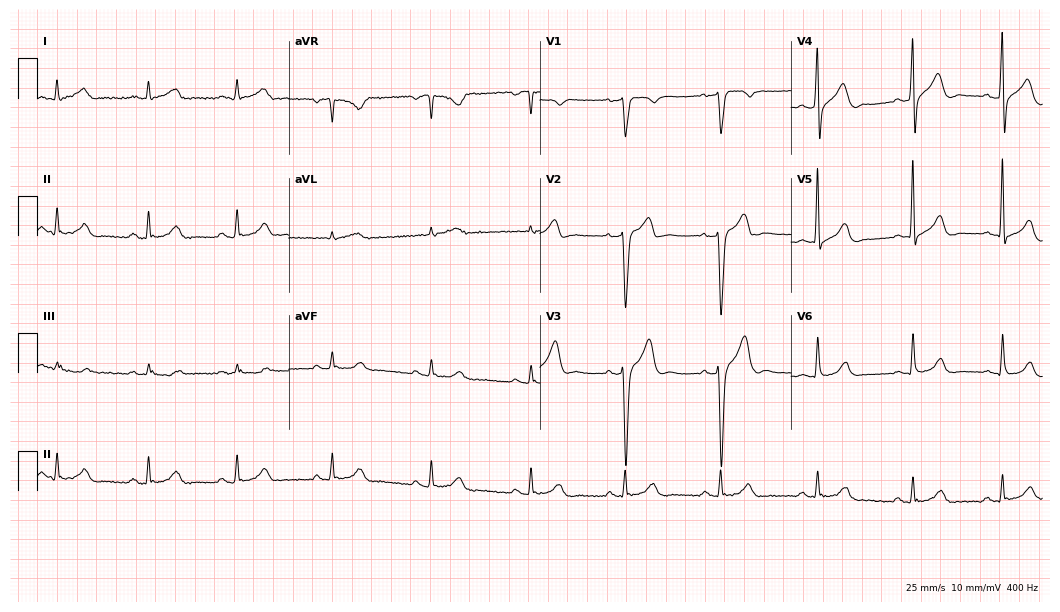
Standard 12-lead ECG recorded from a 42-year-old man. None of these six findings is recorded: first-degree AV block, right bundle branch block, left bundle branch block, sinus bradycardia, atrial fibrillation, sinus tachycardia. Only these six findings were labelled.